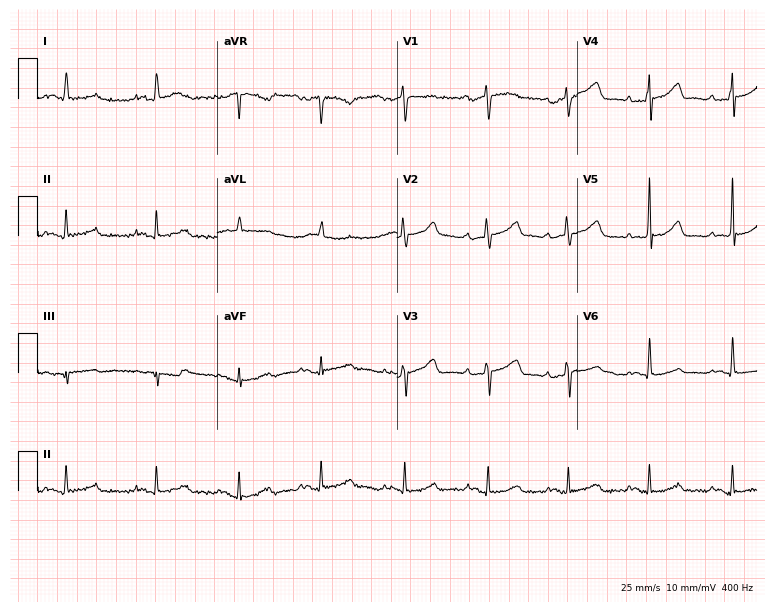
Standard 12-lead ECG recorded from a woman, 37 years old (7.3-second recording at 400 Hz). Read as a normal ECG.